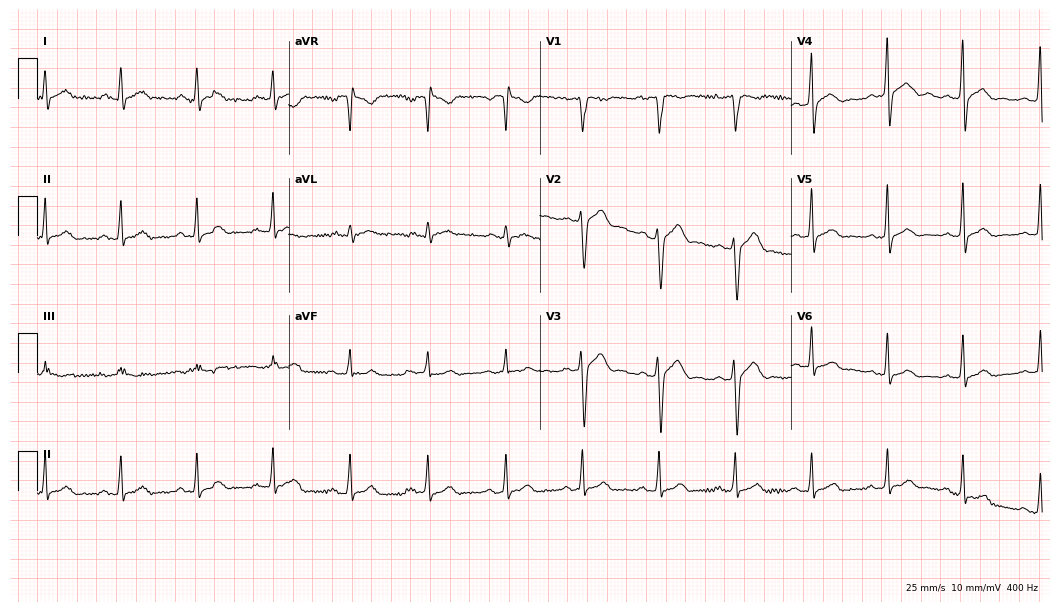
Resting 12-lead electrocardiogram (10.2-second recording at 400 Hz). Patient: a man, 32 years old. Read as a normal ECG.